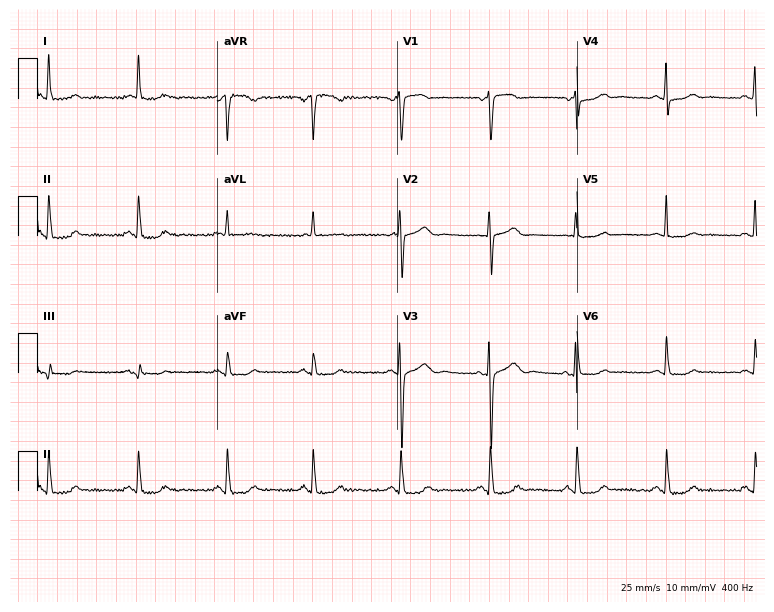
12-lead ECG from a female patient, 60 years old. Recorded interpretation: within normal limits.